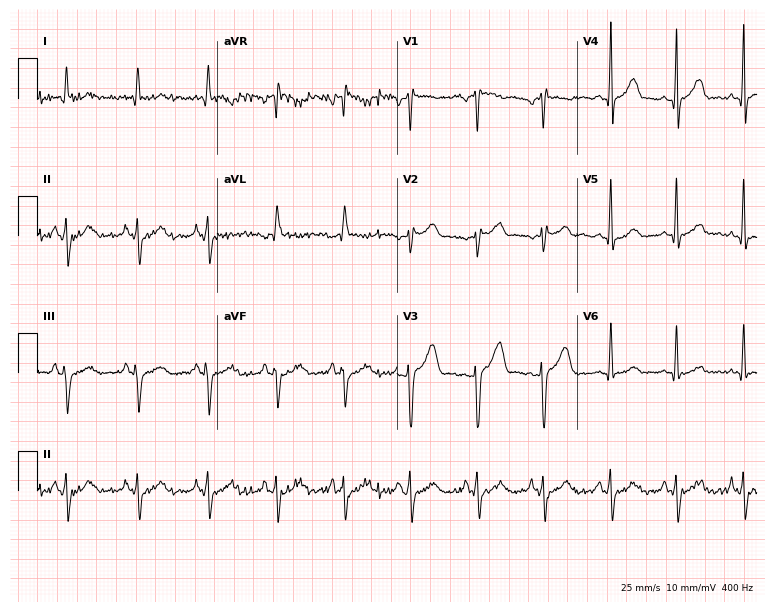
12-lead ECG from a 33-year-old man. Screened for six findings — first-degree AV block, right bundle branch block, left bundle branch block, sinus bradycardia, atrial fibrillation, sinus tachycardia — none is recorded. Only these six findings were labelled.